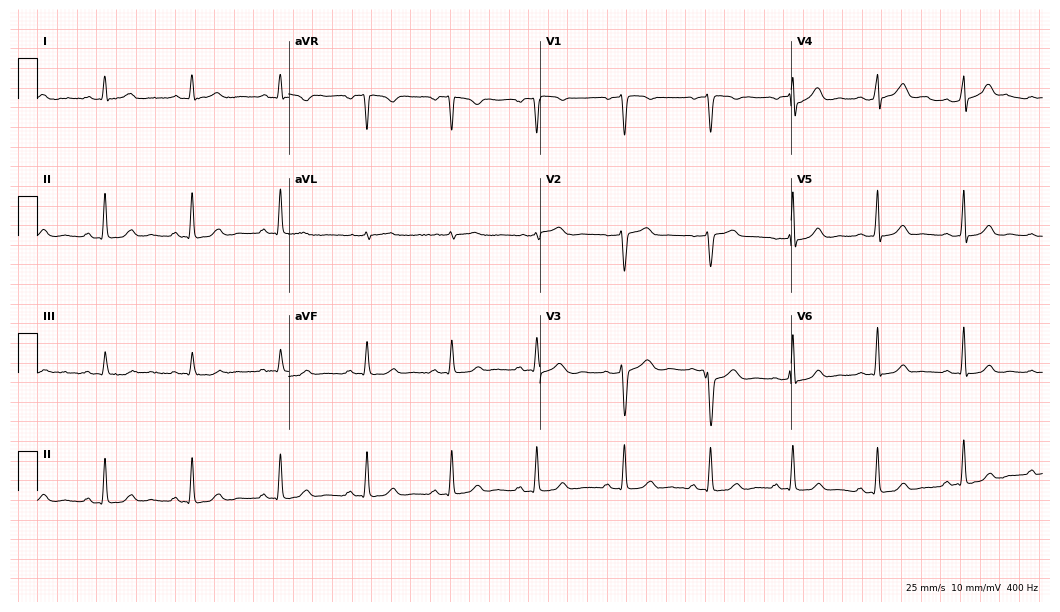
Electrocardiogram, a 39-year-old woman. Overall reading on record: normal ECG.